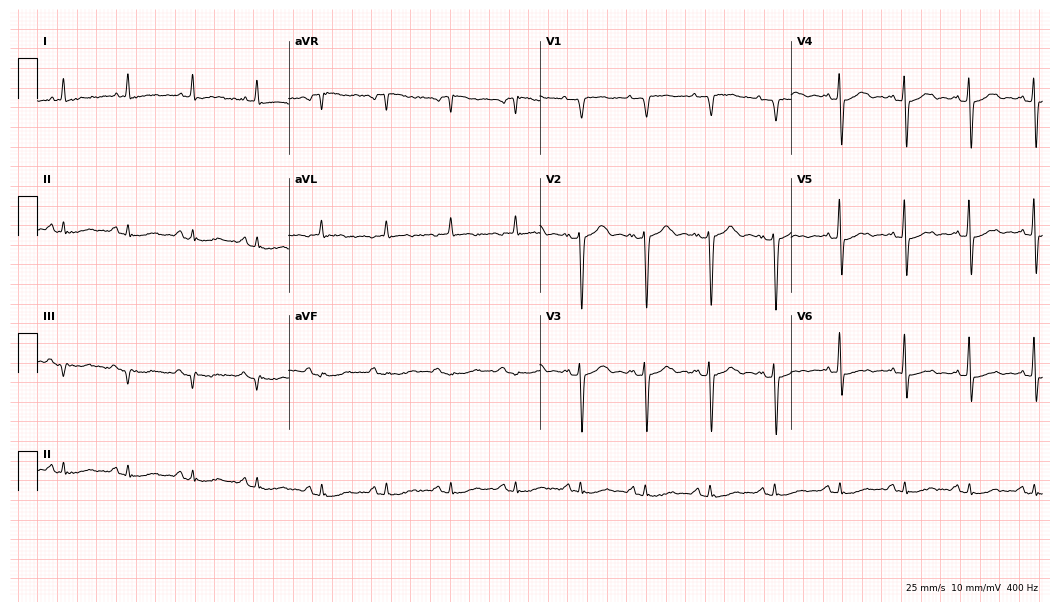
12-lead ECG from a female patient, 80 years old (10.2-second recording at 400 Hz). No first-degree AV block, right bundle branch block, left bundle branch block, sinus bradycardia, atrial fibrillation or sinus tachycardia recorded for this tracing. Only these six findings were labelled.